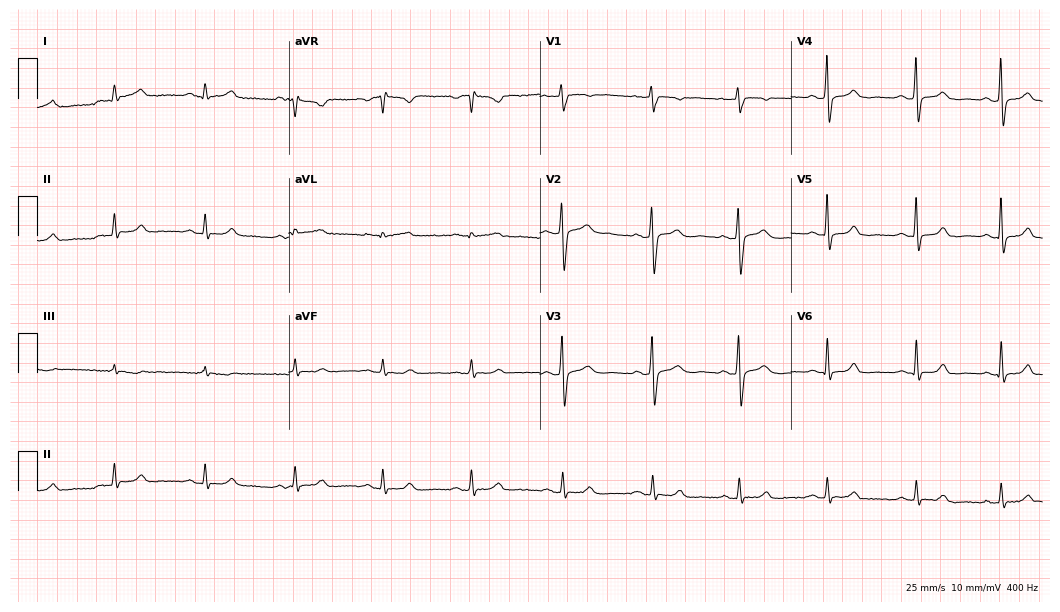
Electrocardiogram, a female patient, 57 years old. Overall reading on record: normal ECG.